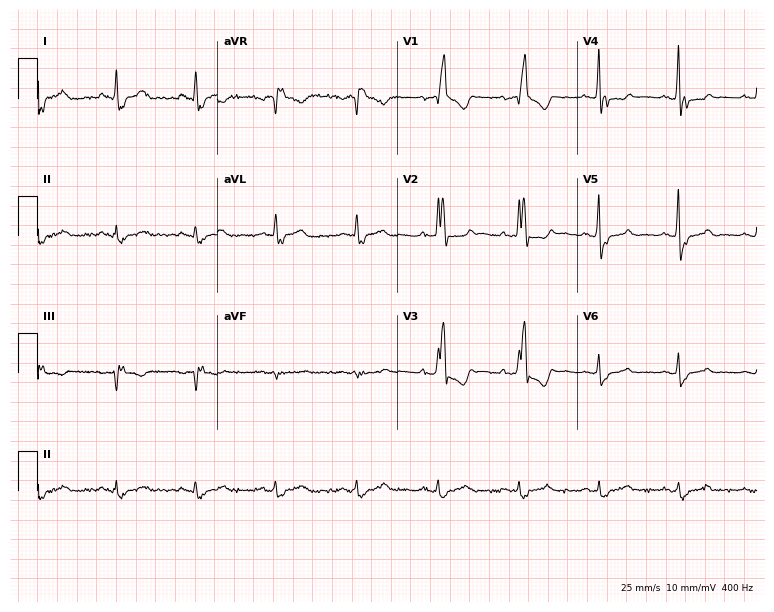
Resting 12-lead electrocardiogram (7.3-second recording at 400 Hz). Patient: an 80-year-old male. The tracing shows right bundle branch block.